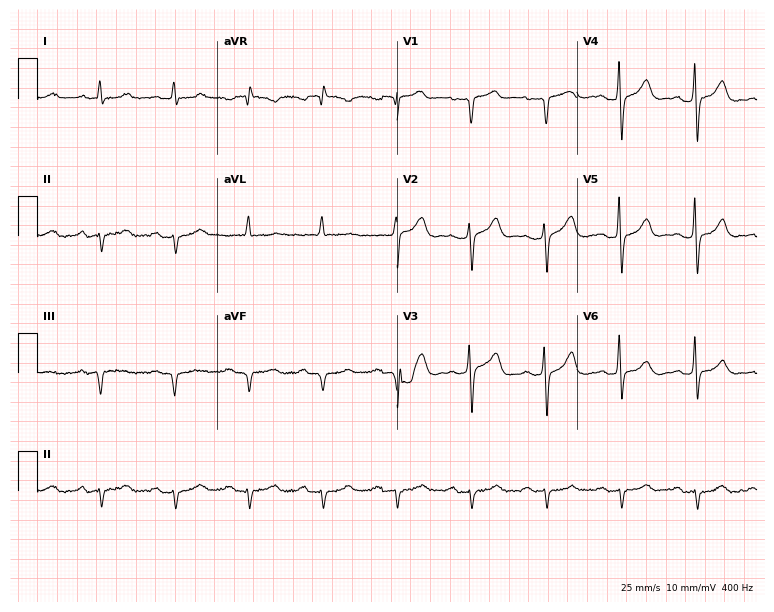
Standard 12-lead ECG recorded from a male patient, 68 years old. None of these six findings is recorded: first-degree AV block, right bundle branch block, left bundle branch block, sinus bradycardia, atrial fibrillation, sinus tachycardia.